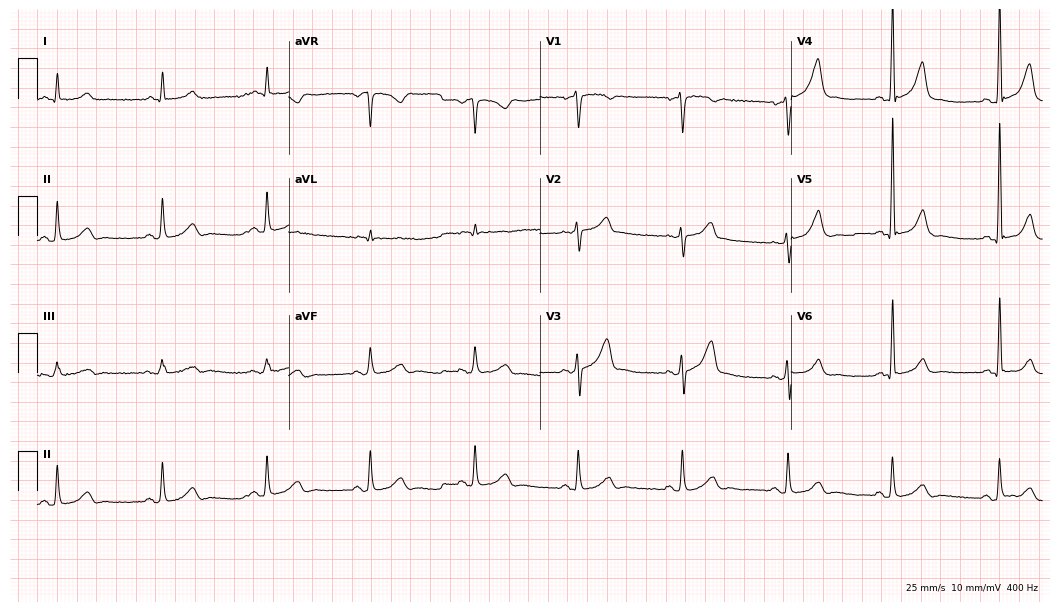
Resting 12-lead electrocardiogram (10.2-second recording at 400 Hz). Patient: a 69-year-old male. Read as a normal ECG.